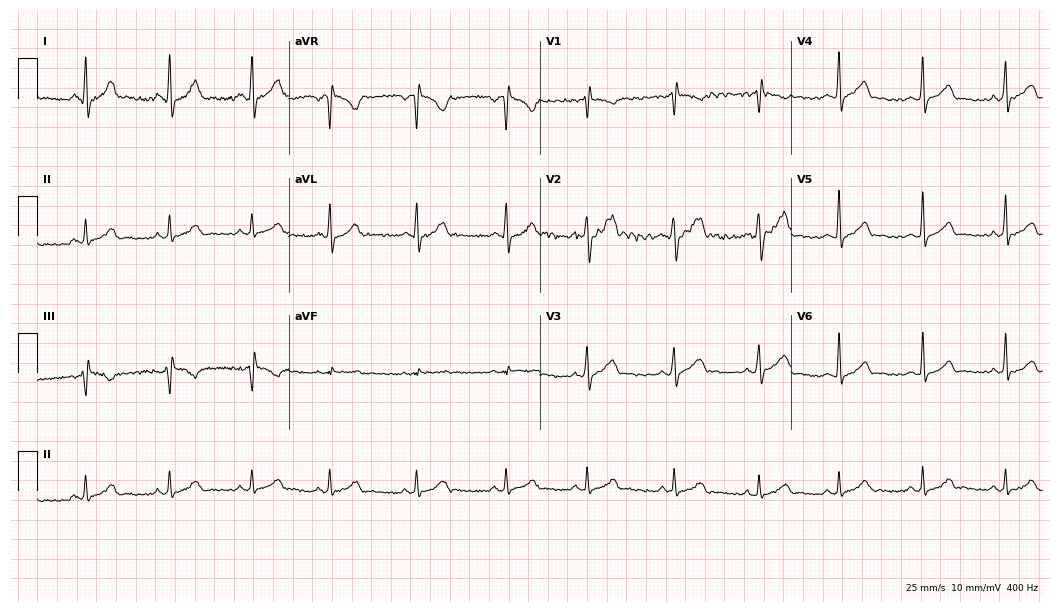
ECG (10.2-second recording at 400 Hz) — a man, 22 years old. Screened for six findings — first-degree AV block, right bundle branch block (RBBB), left bundle branch block (LBBB), sinus bradycardia, atrial fibrillation (AF), sinus tachycardia — none is recorded. Findings outside these six are not listed.